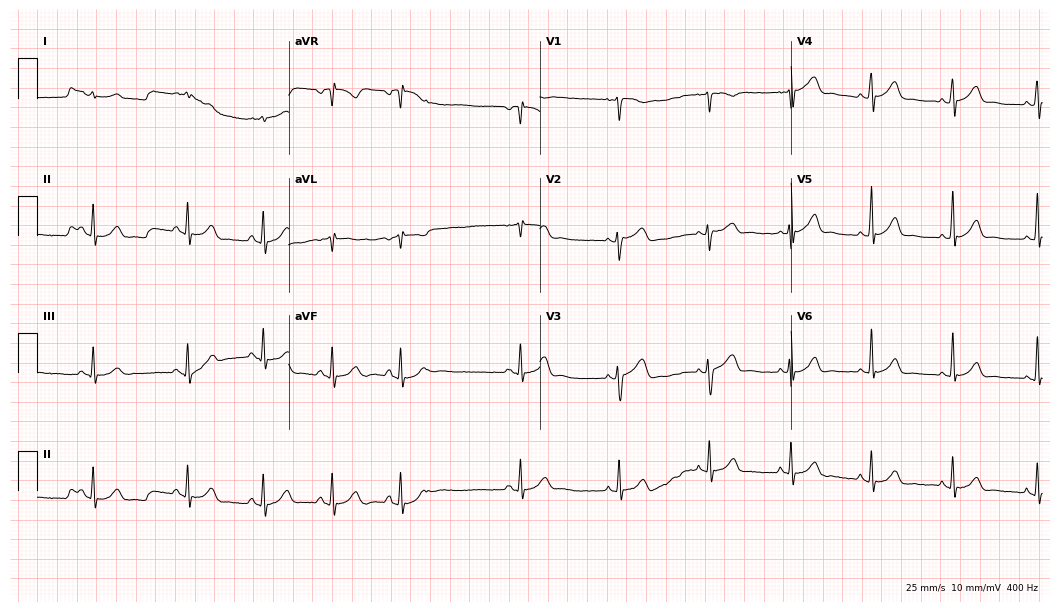
12-lead ECG from a 23-year-old woman. Labelled as a normal ECG.